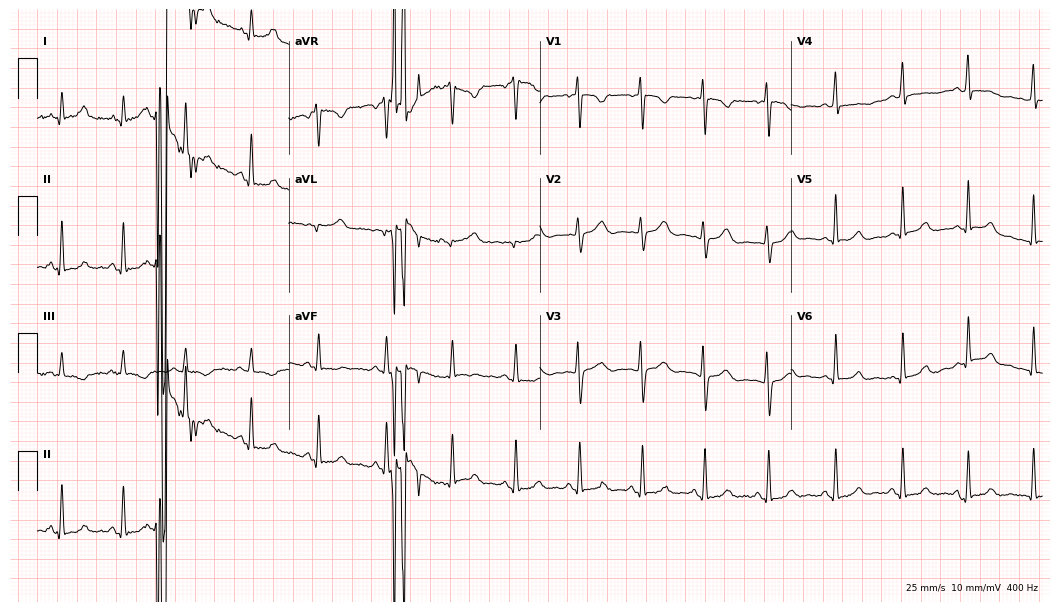
Resting 12-lead electrocardiogram (10.2-second recording at 400 Hz). Patient: a woman, 32 years old. None of these six findings is recorded: first-degree AV block, right bundle branch block, left bundle branch block, sinus bradycardia, atrial fibrillation, sinus tachycardia.